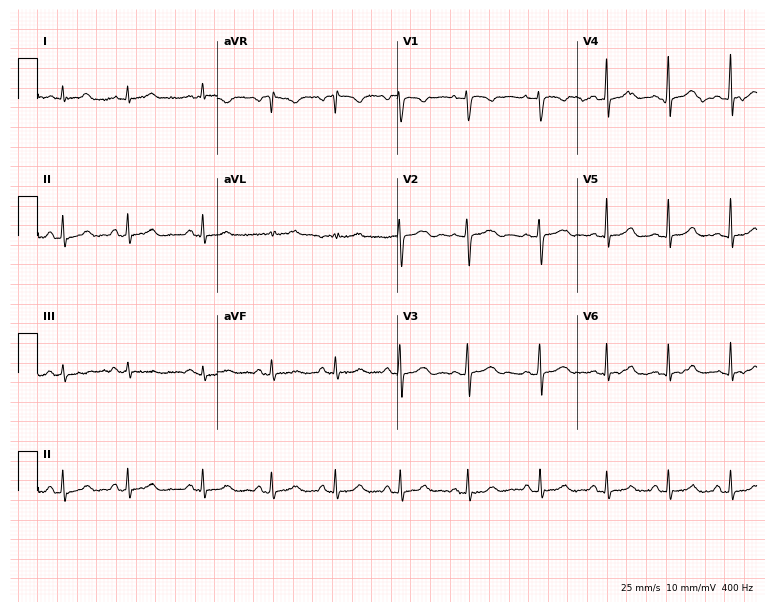
Electrocardiogram, a woman, 19 years old. Overall reading on record: normal ECG.